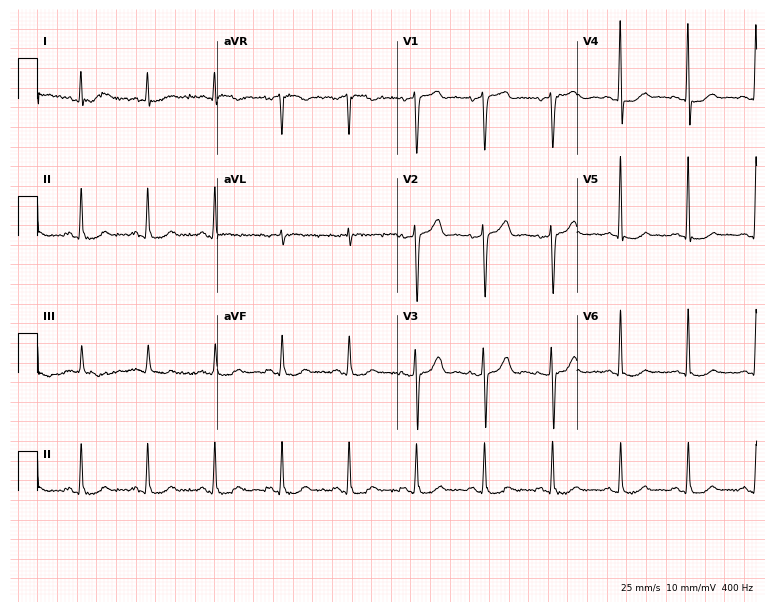
Electrocardiogram (7.3-second recording at 400 Hz), a 77-year-old male. Of the six screened findings (first-degree AV block, right bundle branch block, left bundle branch block, sinus bradycardia, atrial fibrillation, sinus tachycardia), none is recorded. Findings outside these six are not listed.